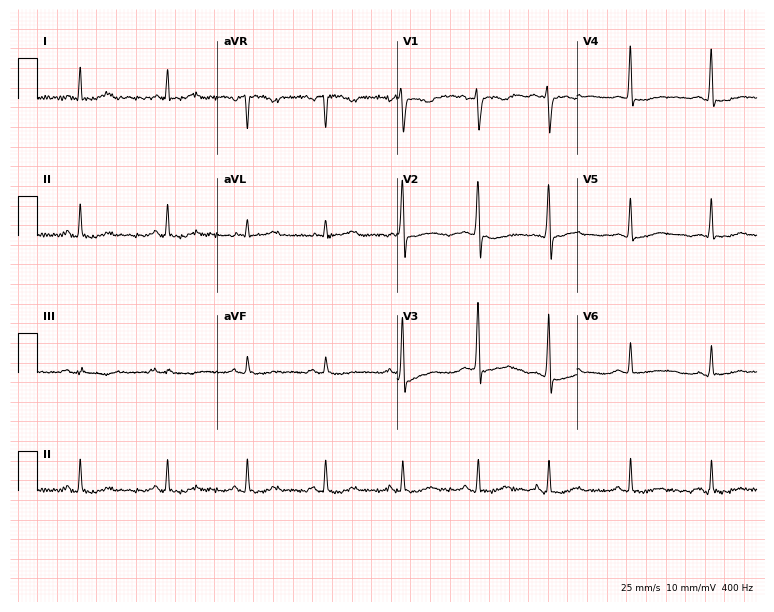
Electrocardiogram, a male patient, 42 years old. Of the six screened findings (first-degree AV block, right bundle branch block, left bundle branch block, sinus bradycardia, atrial fibrillation, sinus tachycardia), none is recorded.